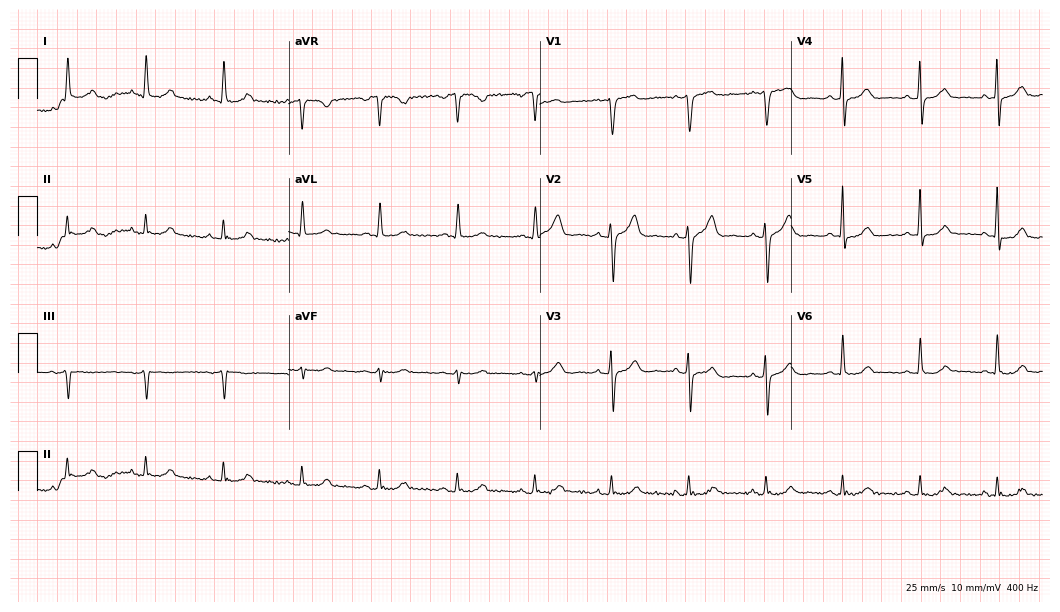
Standard 12-lead ECG recorded from a male, 75 years old. None of these six findings is recorded: first-degree AV block, right bundle branch block (RBBB), left bundle branch block (LBBB), sinus bradycardia, atrial fibrillation (AF), sinus tachycardia.